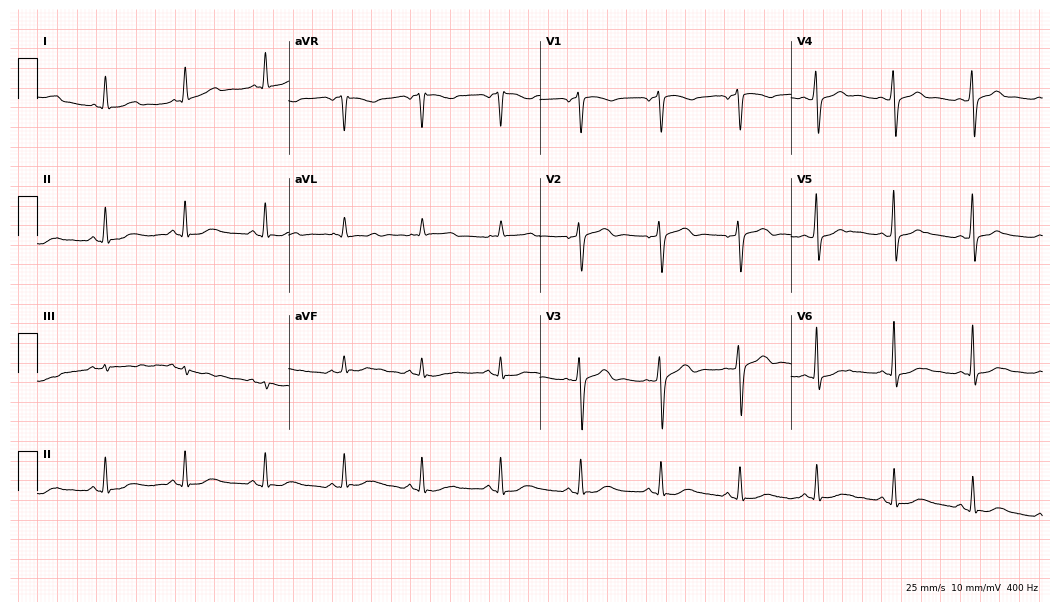
Electrocardiogram (10.2-second recording at 400 Hz), a 56-year-old female. Overall reading on record: normal ECG.